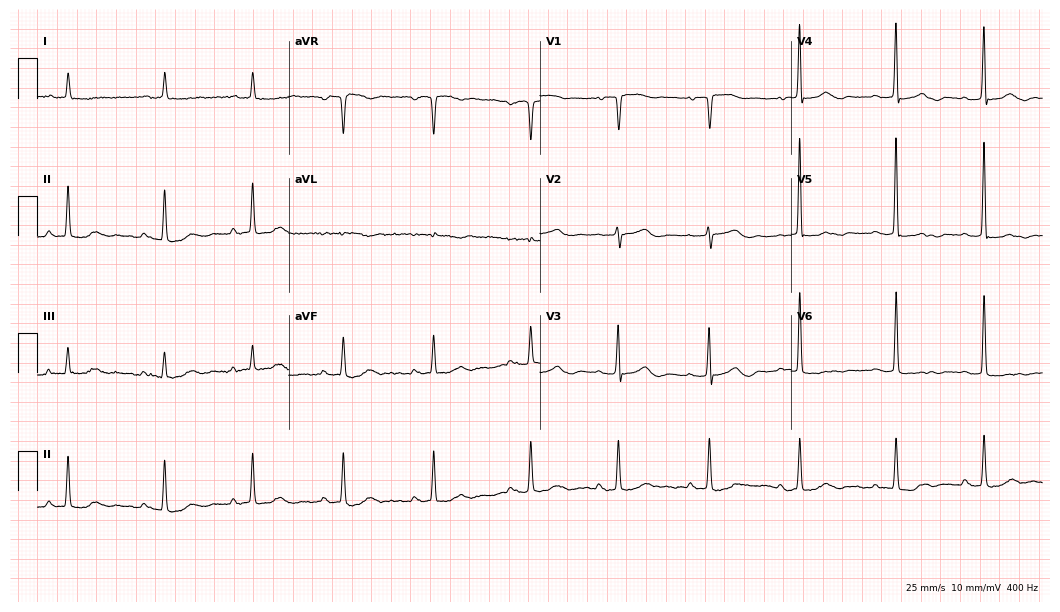
12-lead ECG from a woman, 85 years old (10.2-second recording at 400 Hz). No first-degree AV block, right bundle branch block, left bundle branch block, sinus bradycardia, atrial fibrillation or sinus tachycardia recorded for this tracing.